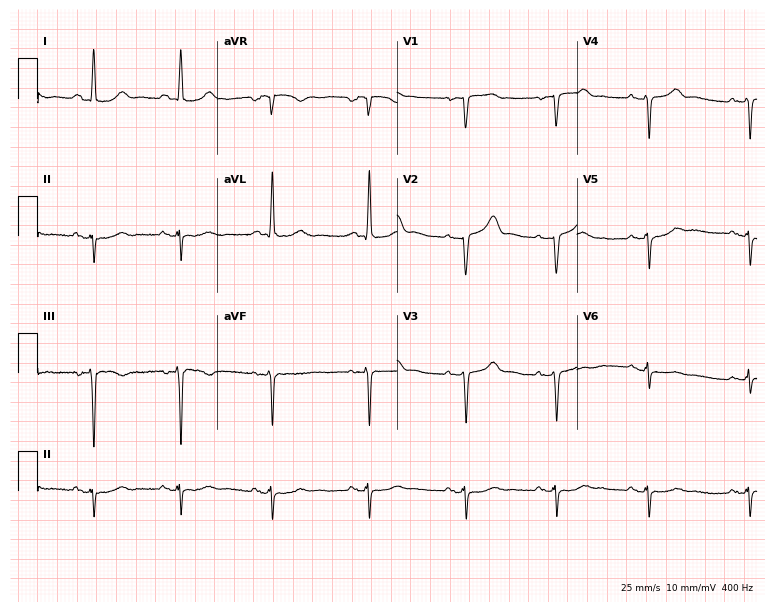
Standard 12-lead ECG recorded from a female, 79 years old (7.3-second recording at 400 Hz). None of these six findings is recorded: first-degree AV block, right bundle branch block, left bundle branch block, sinus bradycardia, atrial fibrillation, sinus tachycardia.